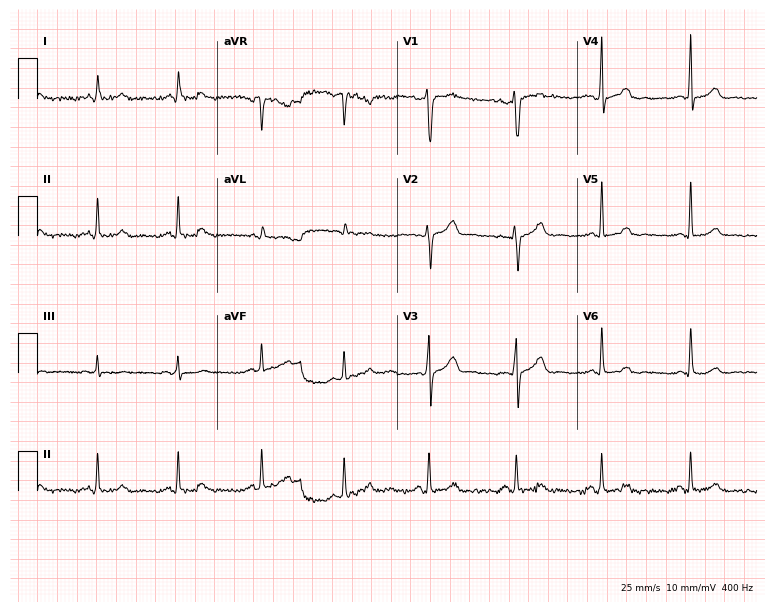
Electrocardiogram, a man, 39 years old. Overall reading on record: normal ECG.